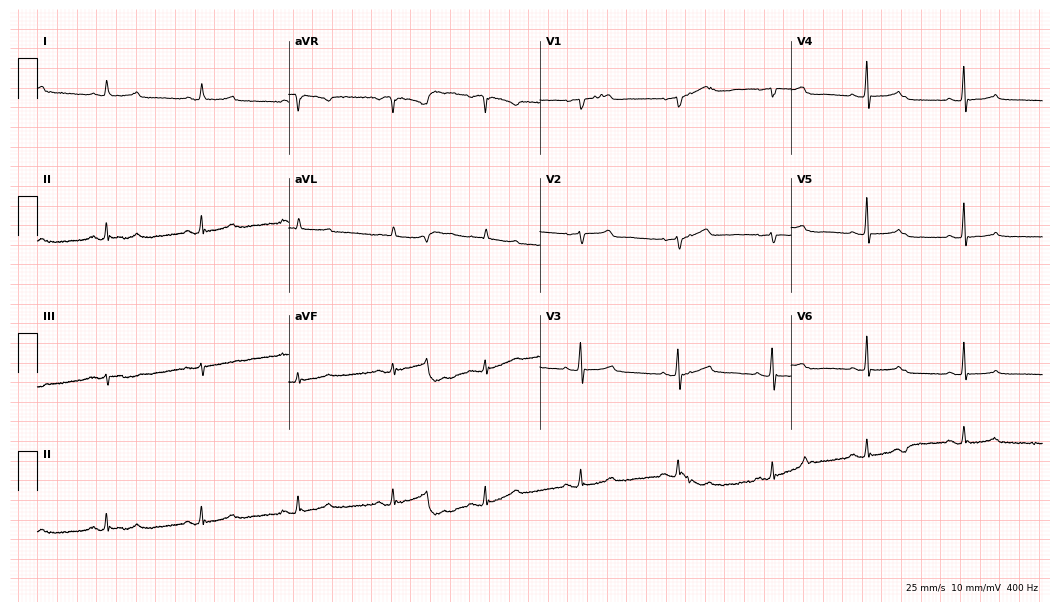
Standard 12-lead ECG recorded from a female patient, 48 years old (10.2-second recording at 400 Hz). None of these six findings is recorded: first-degree AV block, right bundle branch block (RBBB), left bundle branch block (LBBB), sinus bradycardia, atrial fibrillation (AF), sinus tachycardia.